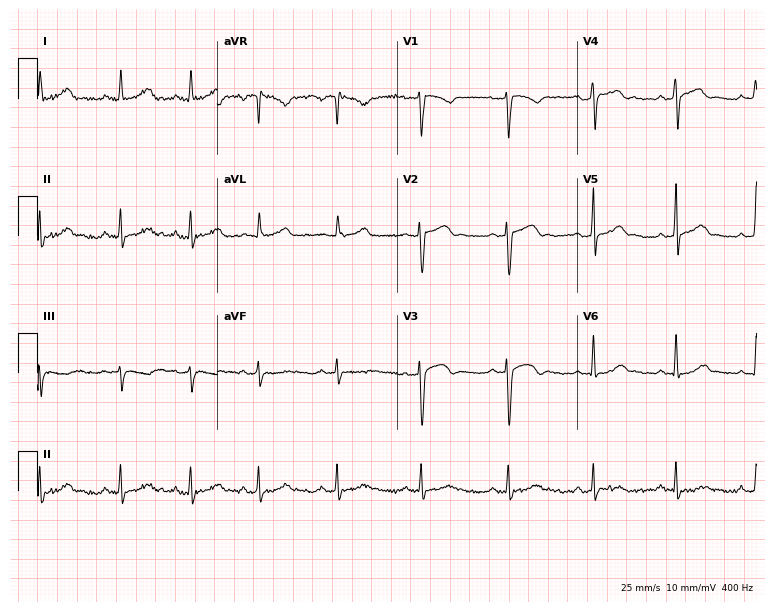
12-lead ECG from a 40-year-old woman. No first-degree AV block, right bundle branch block, left bundle branch block, sinus bradycardia, atrial fibrillation or sinus tachycardia recorded for this tracing. Only these six findings were labelled.